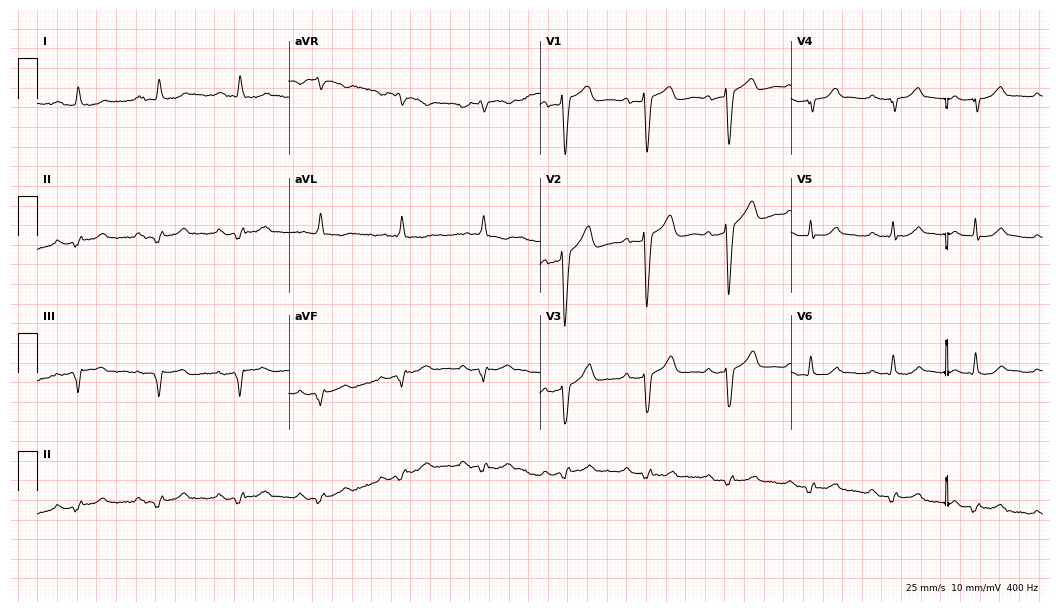
Resting 12-lead electrocardiogram (10.2-second recording at 400 Hz). Patient: a 75-year-old male. None of these six findings is recorded: first-degree AV block, right bundle branch block, left bundle branch block, sinus bradycardia, atrial fibrillation, sinus tachycardia.